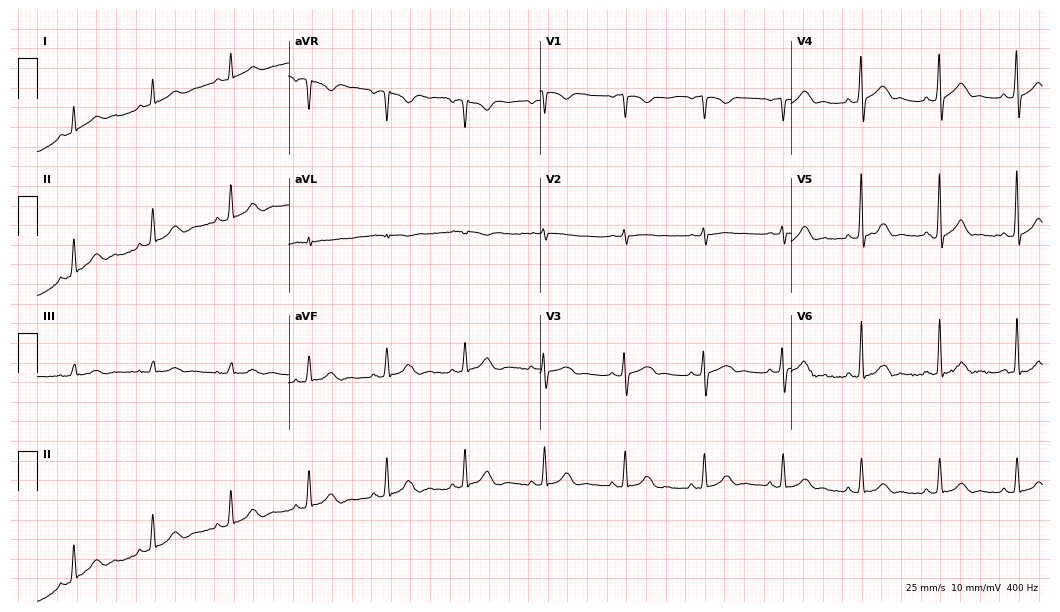
Standard 12-lead ECG recorded from a male, 65 years old. Read as a normal ECG.